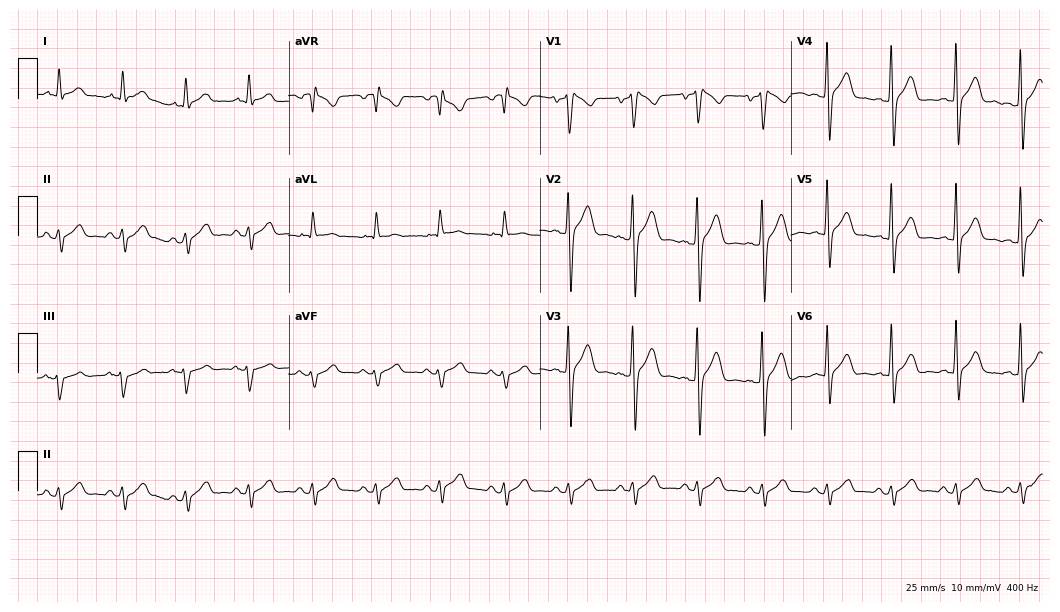
12-lead ECG (10.2-second recording at 400 Hz) from a 53-year-old male. Labelled as a normal ECG.